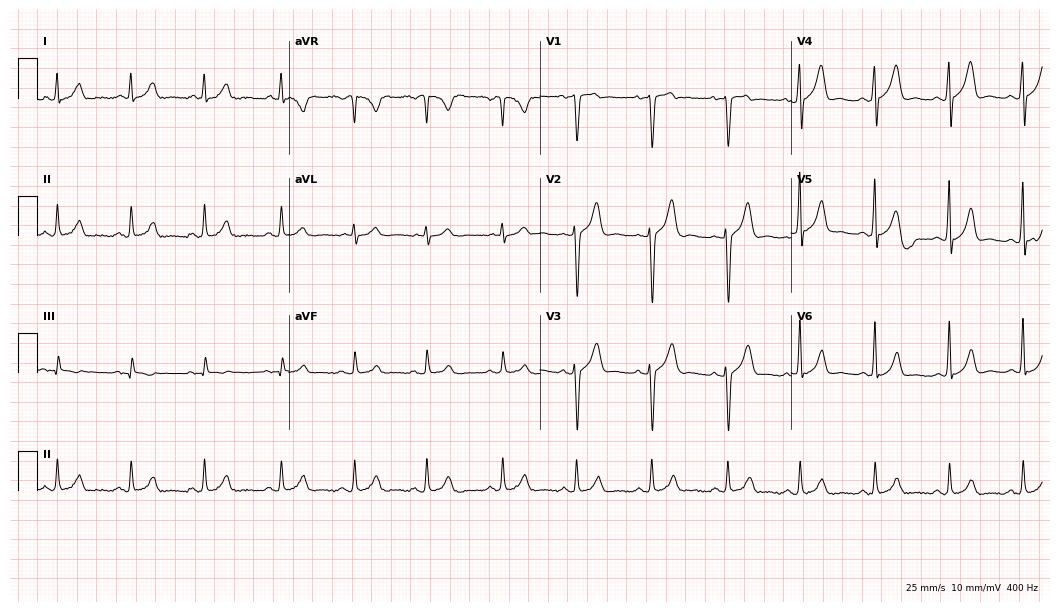
ECG — a 32-year-old male. Labelled as a normal ECG.